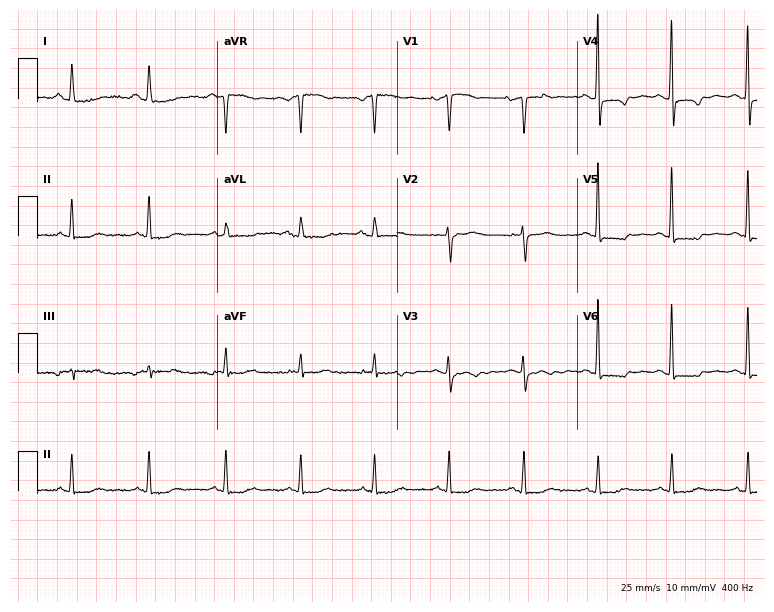
Electrocardiogram (7.3-second recording at 400 Hz), a female, 76 years old. Of the six screened findings (first-degree AV block, right bundle branch block (RBBB), left bundle branch block (LBBB), sinus bradycardia, atrial fibrillation (AF), sinus tachycardia), none is recorded.